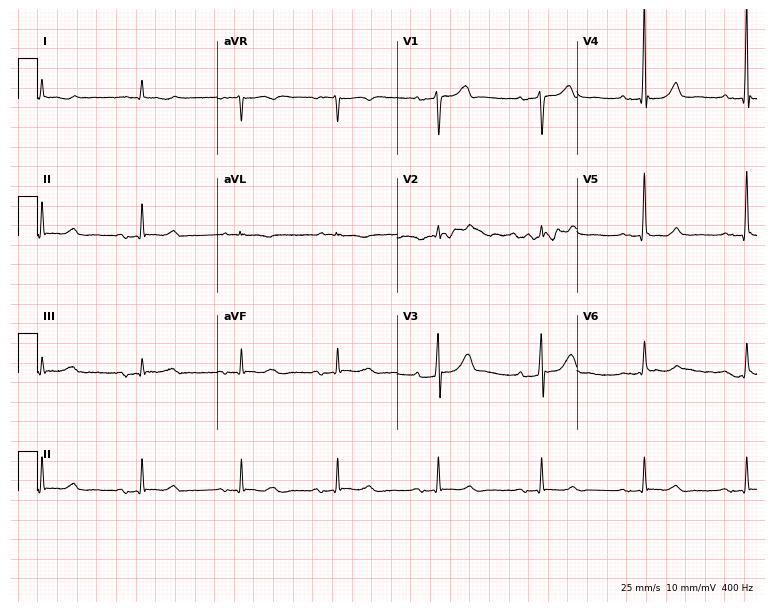
12-lead ECG from a 79-year-old male. Shows first-degree AV block.